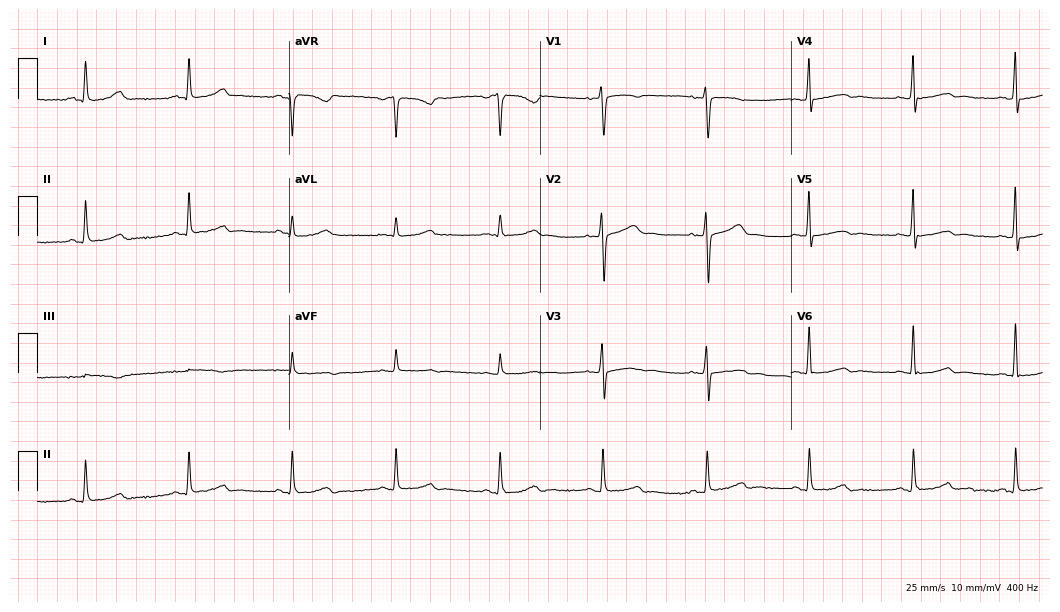
12-lead ECG from a female patient, 53 years old (10.2-second recording at 400 Hz). Recorded interpretation: within normal limits.